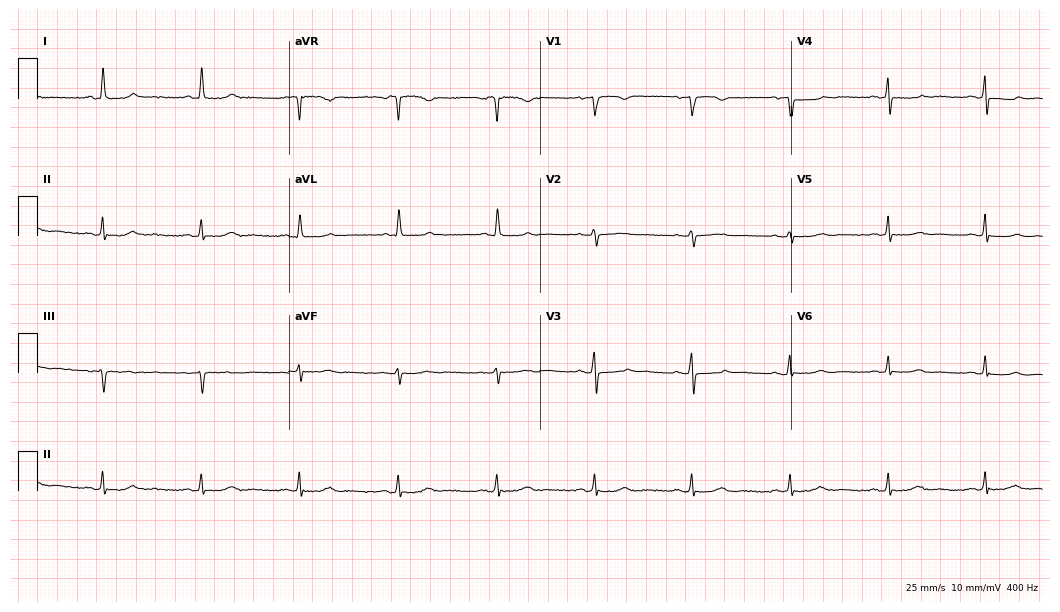
12-lead ECG from a 65-year-old female patient. No first-degree AV block, right bundle branch block, left bundle branch block, sinus bradycardia, atrial fibrillation or sinus tachycardia recorded for this tracing. Only these six findings were labelled.